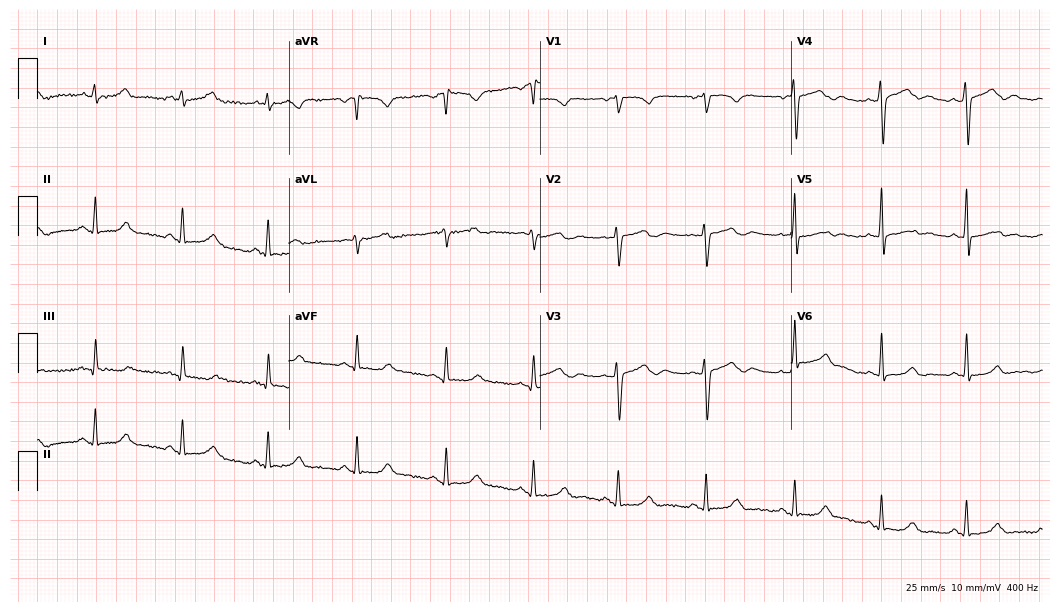
Electrocardiogram, a 41-year-old female. Overall reading on record: normal ECG.